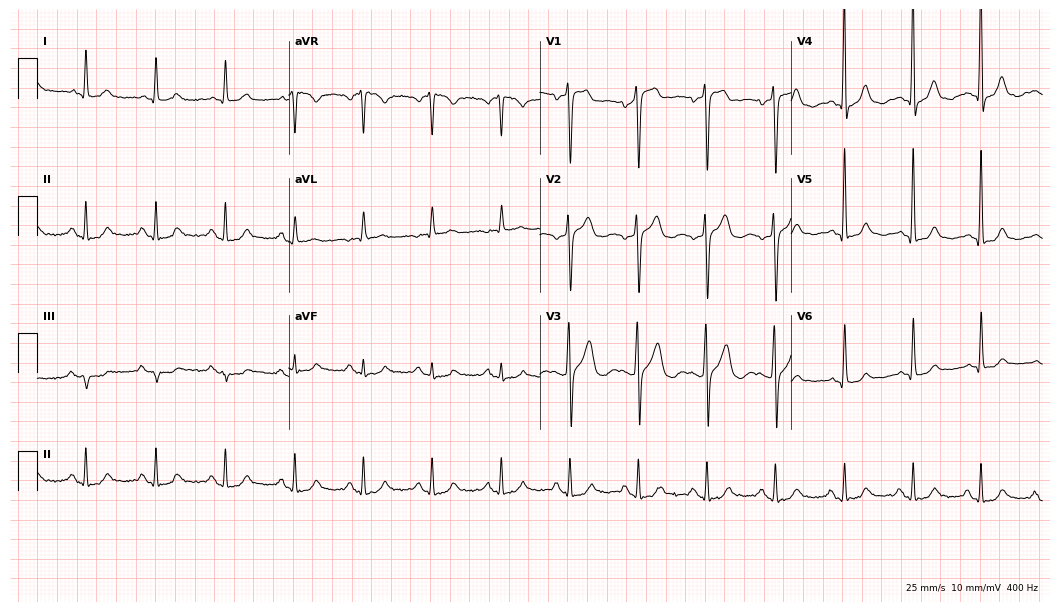
12-lead ECG from a male, 56 years old. No first-degree AV block, right bundle branch block (RBBB), left bundle branch block (LBBB), sinus bradycardia, atrial fibrillation (AF) or sinus tachycardia recorded for this tracing. Only these six findings were labelled.